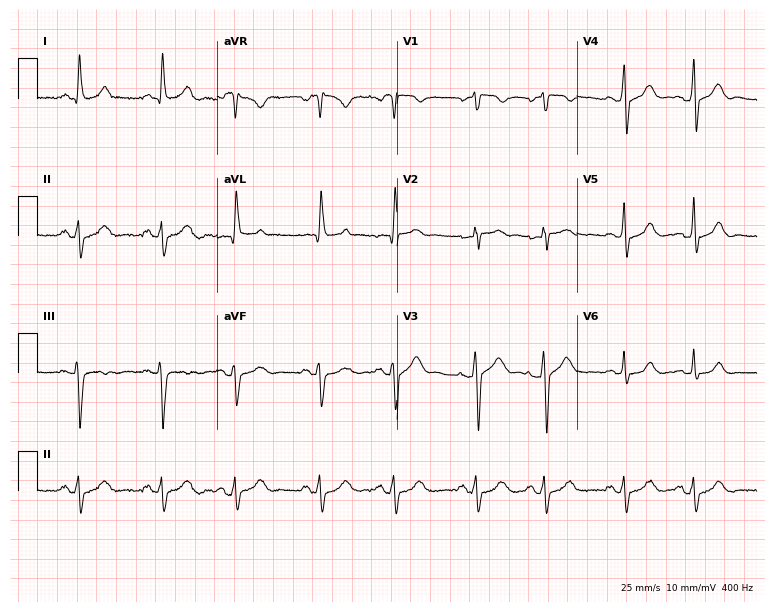
Resting 12-lead electrocardiogram. Patient: a female, 52 years old. Read as a normal ECG.